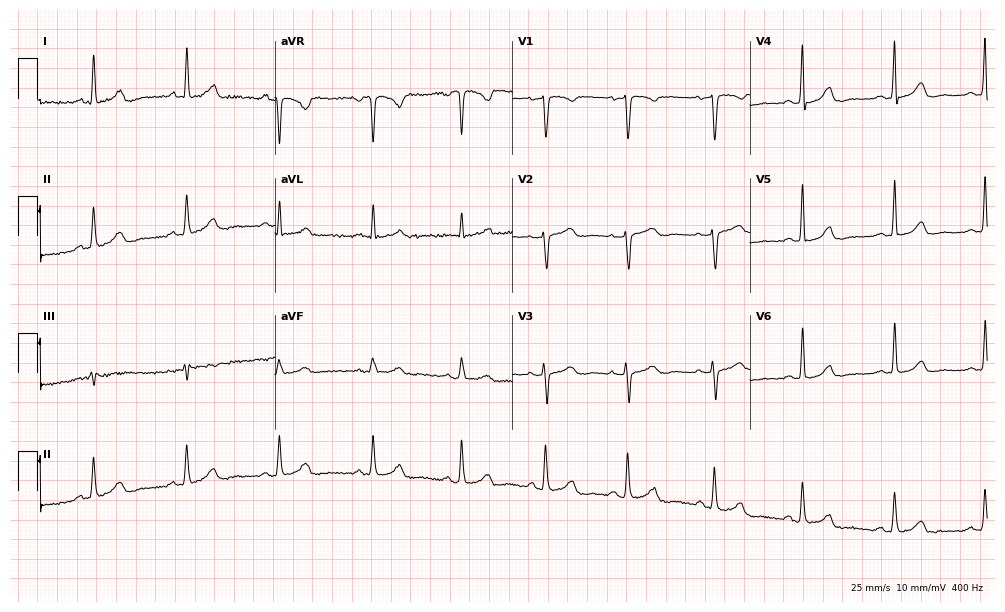
Electrocardiogram, a 39-year-old female patient. Overall reading on record: normal ECG.